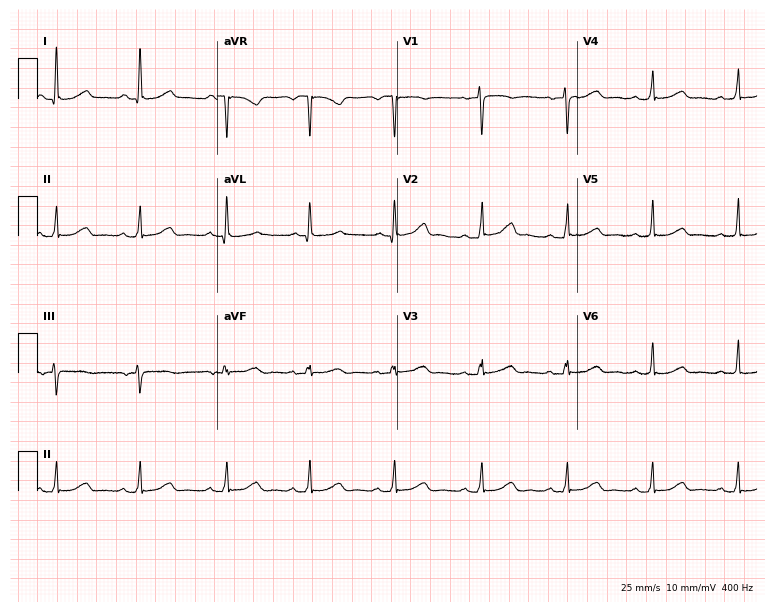
12-lead ECG from a 50-year-old female patient. Recorded interpretation: within normal limits.